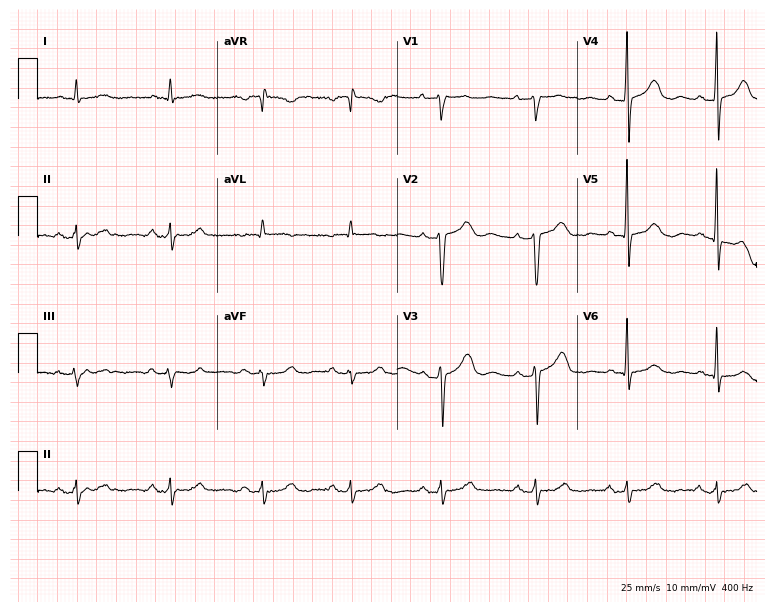
ECG (7.3-second recording at 400 Hz) — a woman, 66 years old. Screened for six findings — first-degree AV block, right bundle branch block, left bundle branch block, sinus bradycardia, atrial fibrillation, sinus tachycardia — none is recorded. Other findings, if any, are not listed.